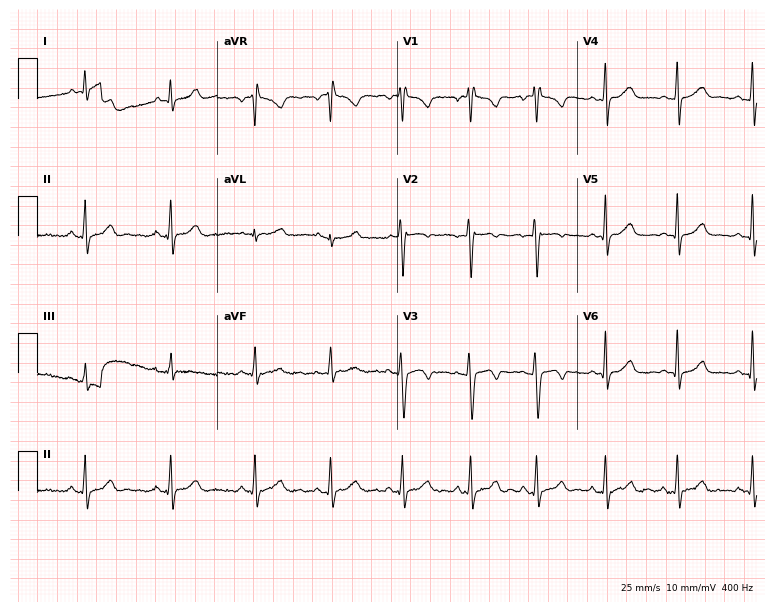
12-lead ECG from a woman, 18 years old. Labelled as a normal ECG.